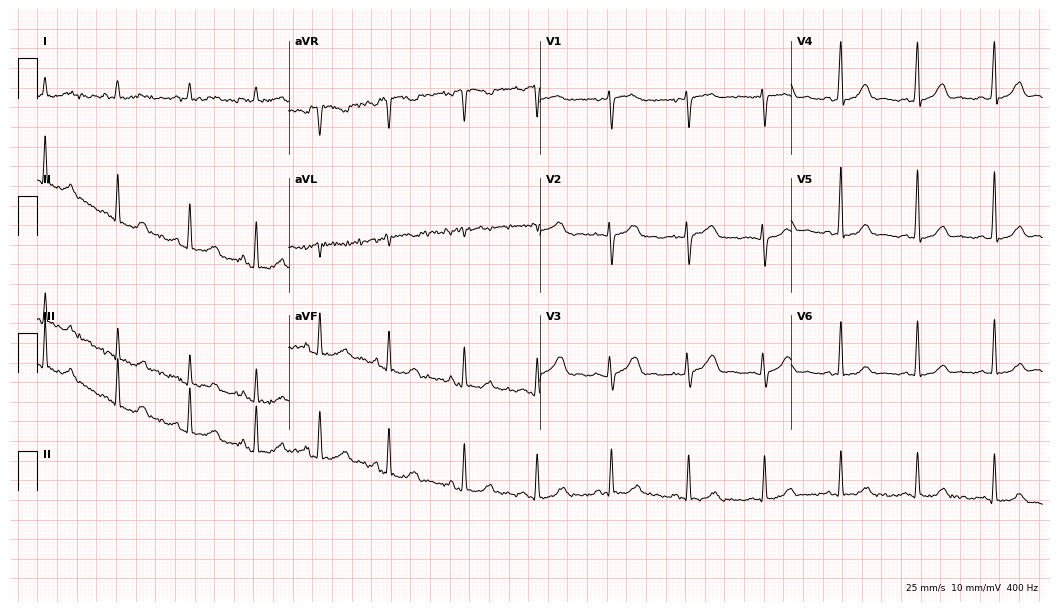
12-lead ECG from a 50-year-old female patient. No first-degree AV block, right bundle branch block (RBBB), left bundle branch block (LBBB), sinus bradycardia, atrial fibrillation (AF) or sinus tachycardia recorded for this tracing.